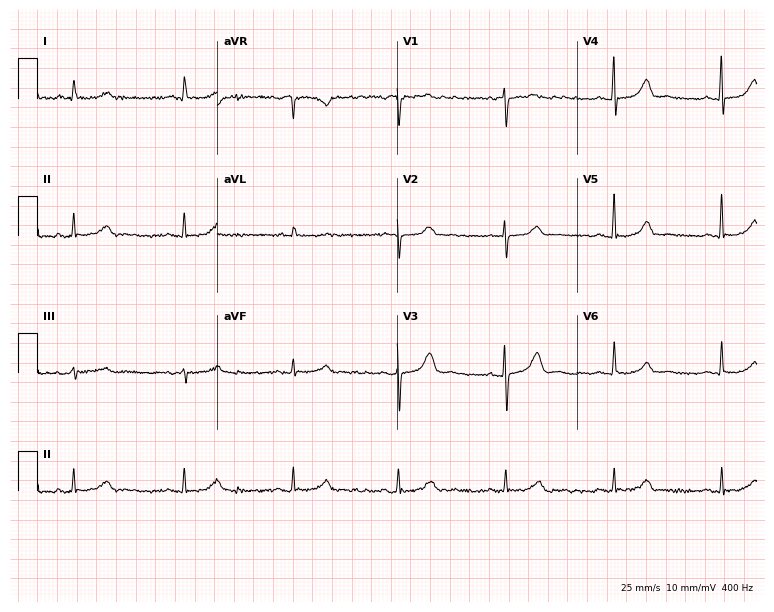
Electrocardiogram (7.3-second recording at 400 Hz), a 72-year-old female patient. Of the six screened findings (first-degree AV block, right bundle branch block (RBBB), left bundle branch block (LBBB), sinus bradycardia, atrial fibrillation (AF), sinus tachycardia), none is recorded. Only these six findings were labelled.